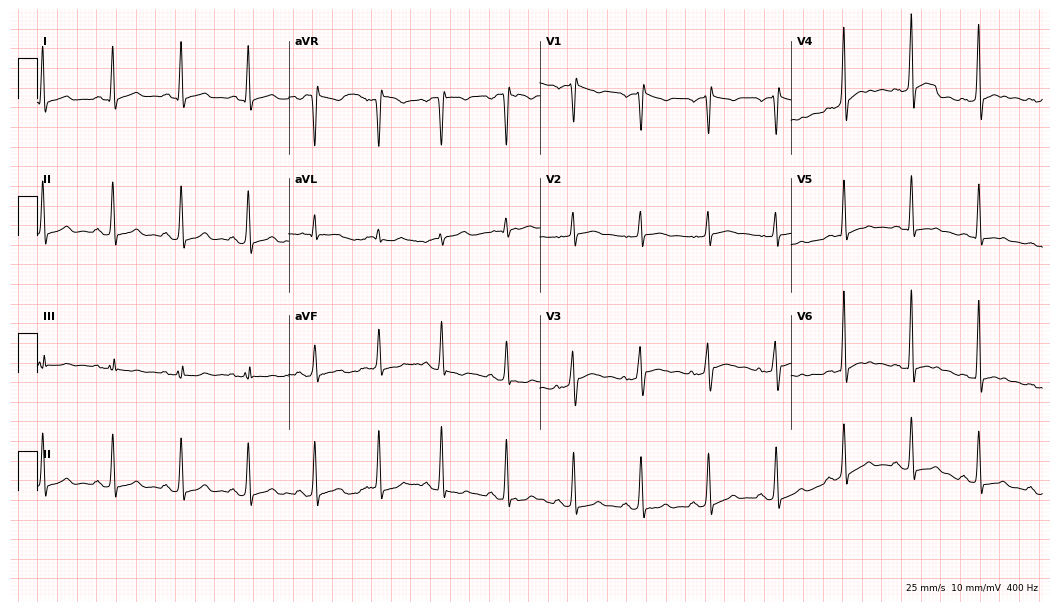
12-lead ECG from a 22-year-old male. Screened for six findings — first-degree AV block, right bundle branch block, left bundle branch block, sinus bradycardia, atrial fibrillation, sinus tachycardia — none is recorded.